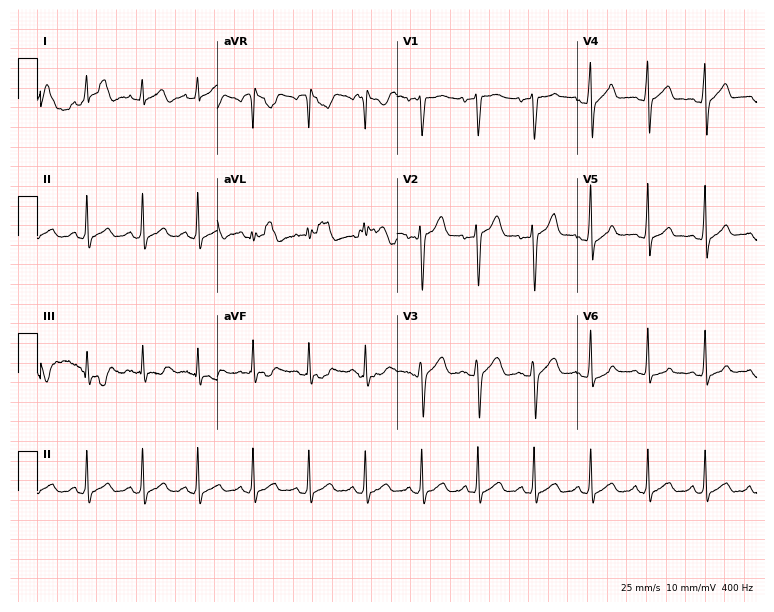
Resting 12-lead electrocardiogram (7.3-second recording at 400 Hz). Patient: a 30-year-old male. The tracing shows sinus tachycardia (a sinus rate of 100 beats per minute or more).